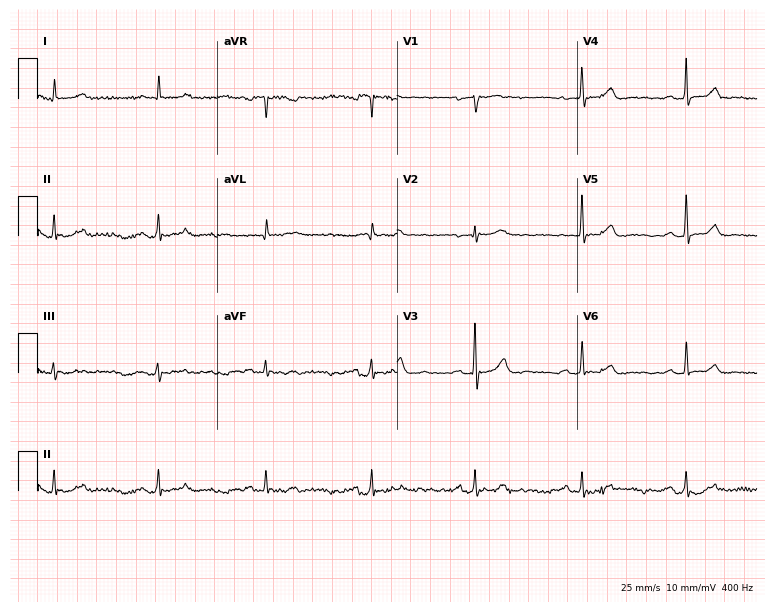
12-lead ECG from a female, 63 years old (7.3-second recording at 400 Hz). No first-degree AV block, right bundle branch block (RBBB), left bundle branch block (LBBB), sinus bradycardia, atrial fibrillation (AF) or sinus tachycardia recorded for this tracing. Findings outside these six are not listed.